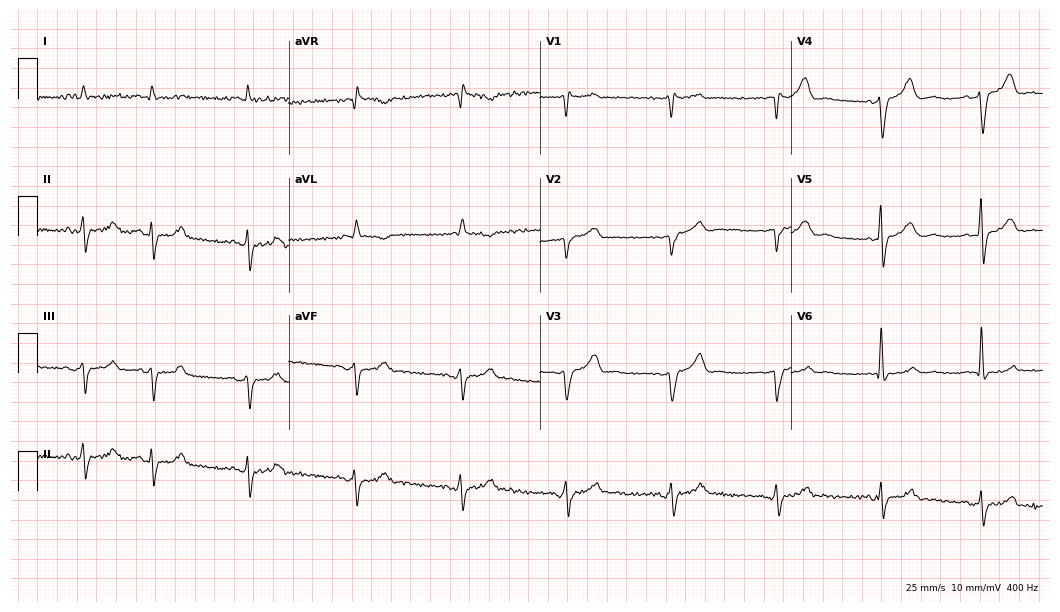
ECG (10.2-second recording at 400 Hz) — a 77-year-old man. Screened for six findings — first-degree AV block, right bundle branch block, left bundle branch block, sinus bradycardia, atrial fibrillation, sinus tachycardia — none is recorded. Findings outside these six are not listed.